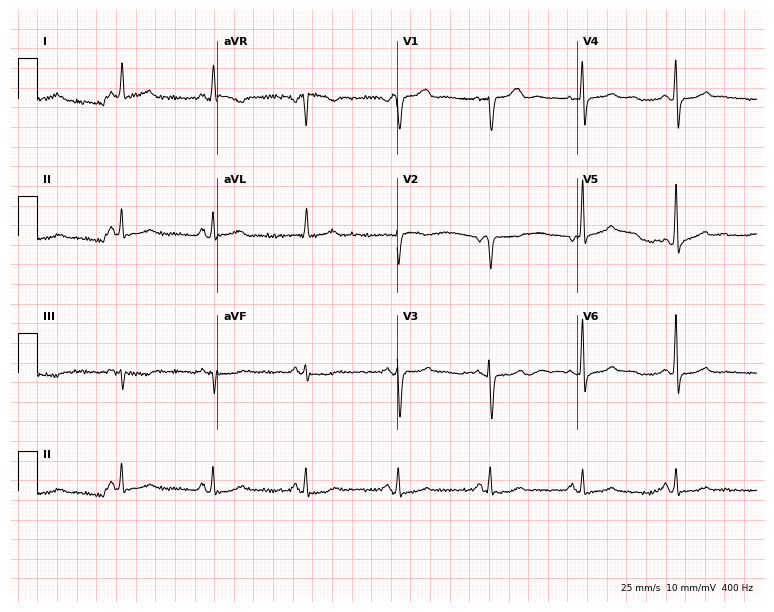
12-lead ECG from a 63-year-old female (7.3-second recording at 400 Hz). Recorded interpretation: within normal limits.